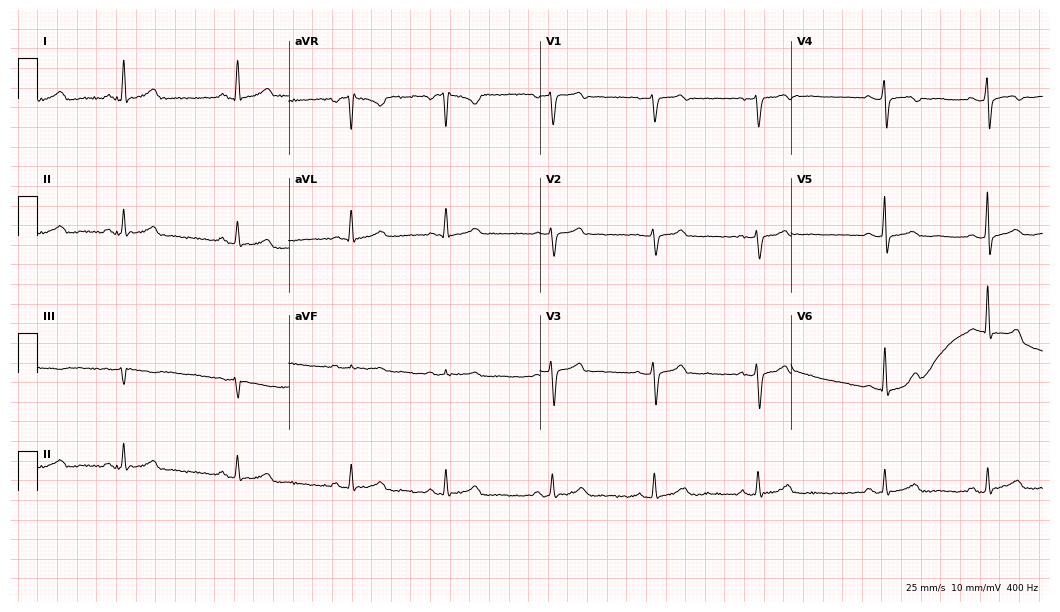
ECG (10.2-second recording at 400 Hz) — a 53-year-old female patient. Labelled as a normal ECG.